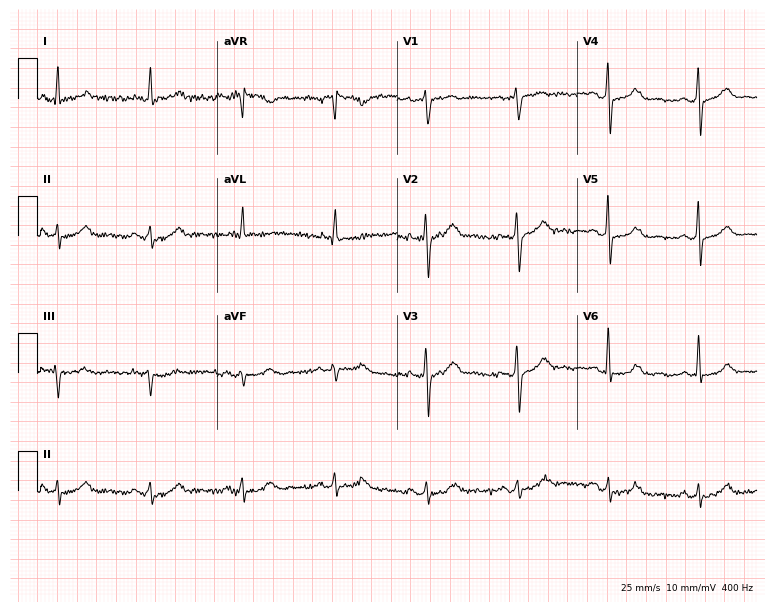
Resting 12-lead electrocardiogram. Patient: a male, 63 years old. None of these six findings is recorded: first-degree AV block, right bundle branch block, left bundle branch block, sinus bradycardia, atrial fibrillation, sinus tachycardia.